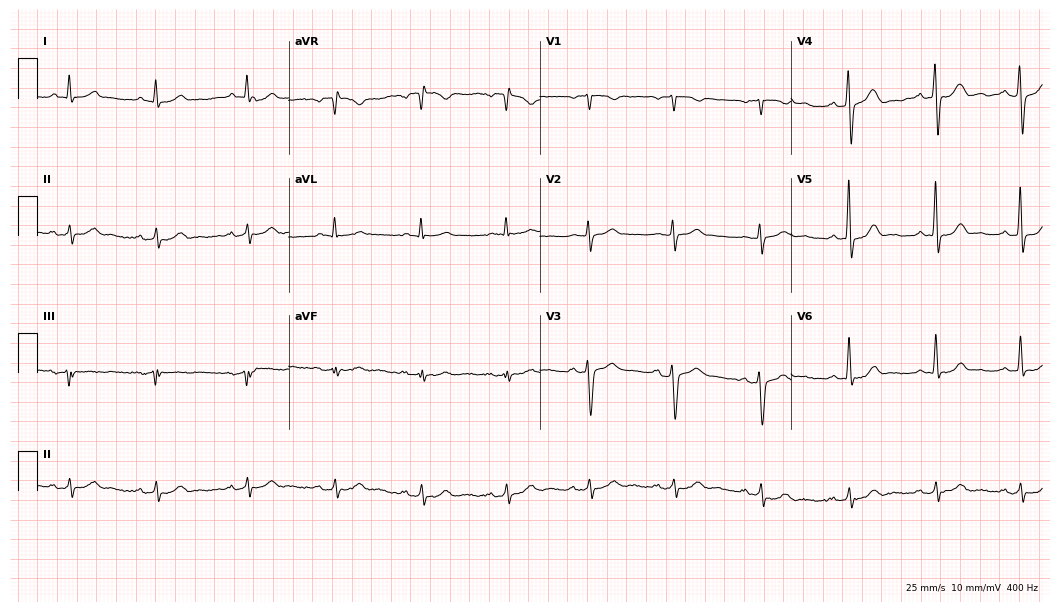
Electrocardiogram (10.2-second recording at 400 Hz), a man, 63 years old. Overall reading on record: normal ECG.